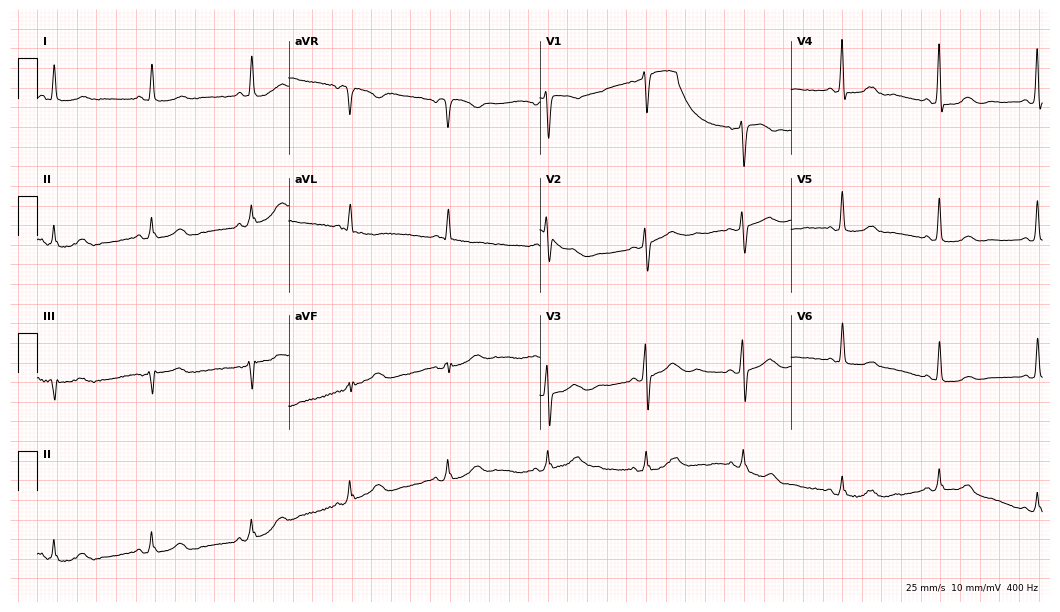
ECG — a 76-year-old woman. Labelled as a normal ECG.